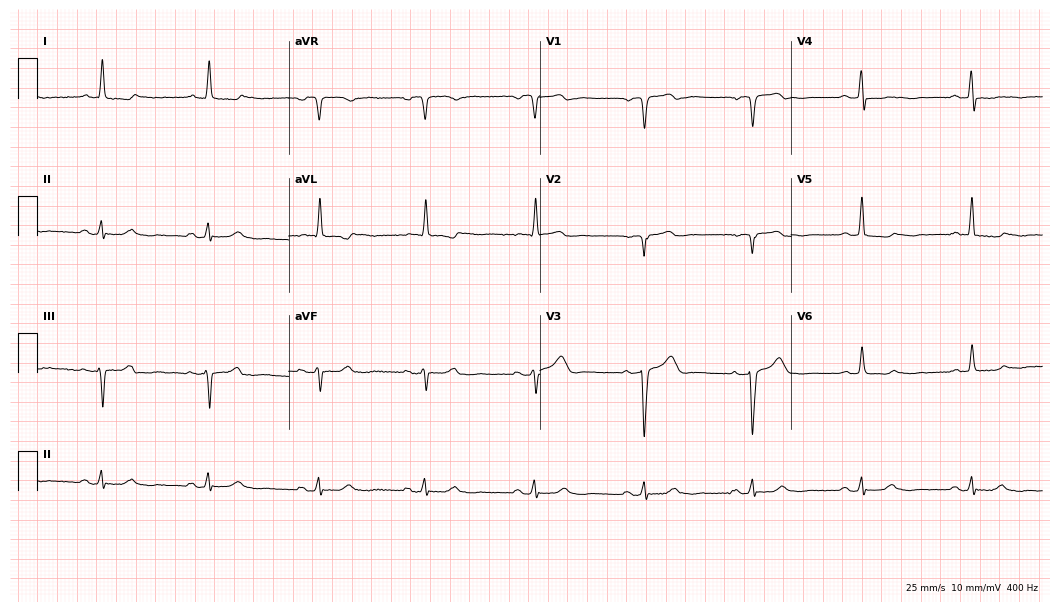
12-lead ECG from a 79-year-old male. No first-degree AV block, right bundle branch block, left bundle branch block, sinus bradycardia, atrial fibrillation or sinus tachycardia recorded for this tracing. Only these six findings were labelled.